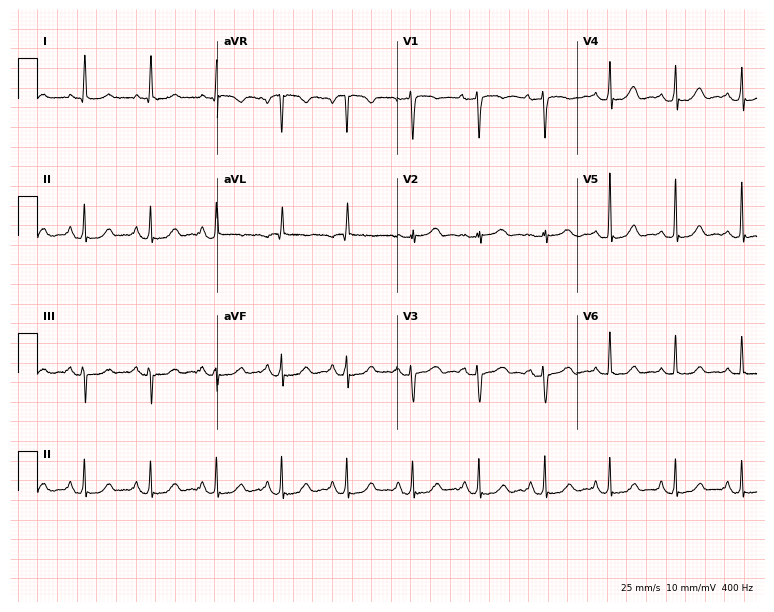
Resting 12-lead electrocardiogram. Patient: a female, 62 years old. None of these six findings is recorded: first-degree AV block, right bundle branch block, left bundle branch block, sinus bradycardia, atrial fibrillation, sinus tachycardia.